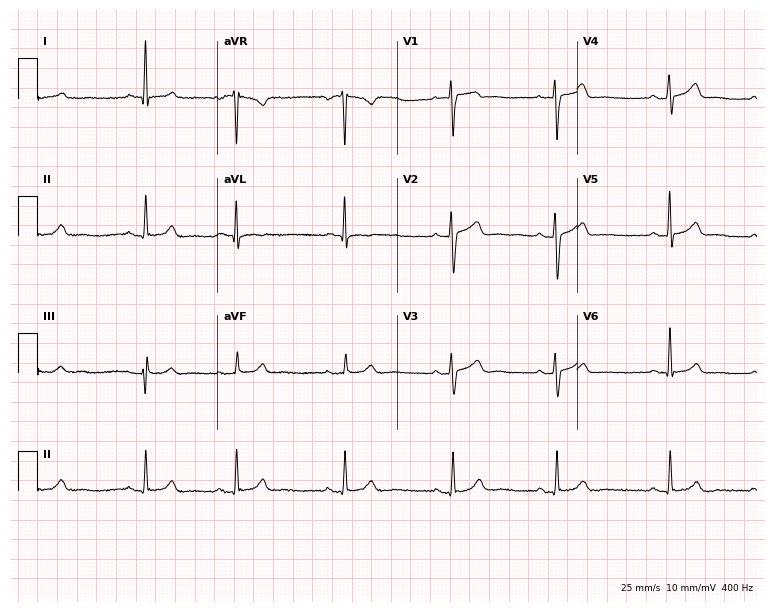
12-lead ECG (7.3-second recording at 400 Hz) from a 35-year-old woman. Labelled as a normal ECG.